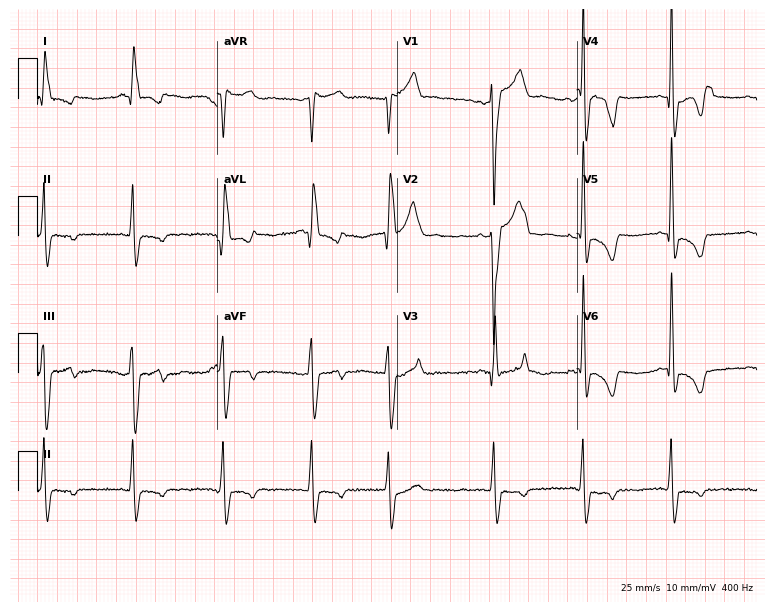
Standard 12-lead ECG recorded from a 75-year-old female patient. None of these six findings is recorded: first-degree AV block, right bundle branch block, left bundle branch block, sinus bradycardia, atrial fibrillation, sinus tachycardia.